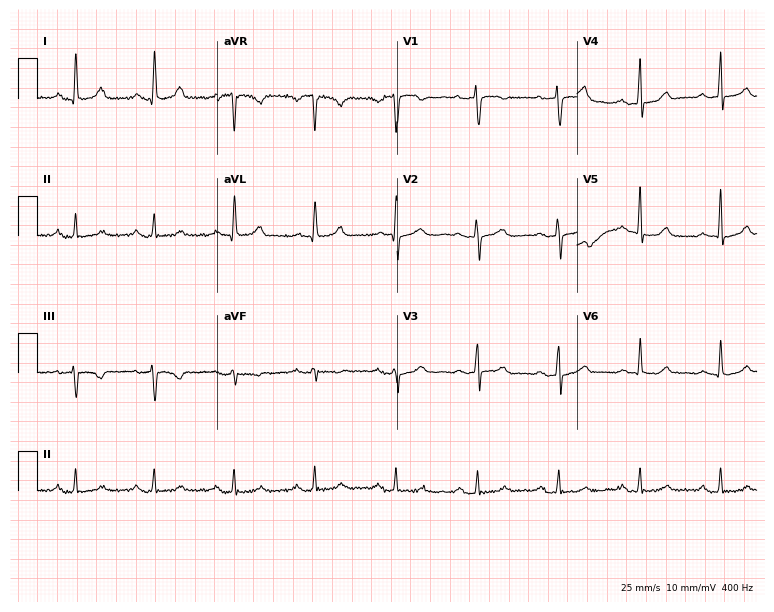
Resting 12-lead electrocardiogram (7.3-second recording at 400 Hz). Patient: a 54-year-old woman. The tracing shows first-degree AV block.